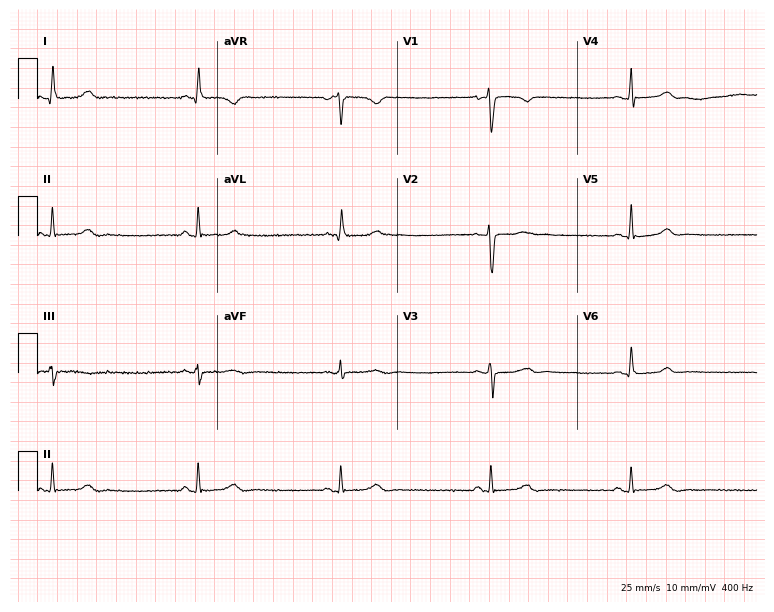
Standard 12-lead ECG recorded from a female patient, 49 years old (7.3-second recording at 400 Hz). None of these six findings is recorded: first-degree AV block, right bundle branch block, left bundle branch block, sinus bradycardia, atrial fibrillation, sinus tachycardia.